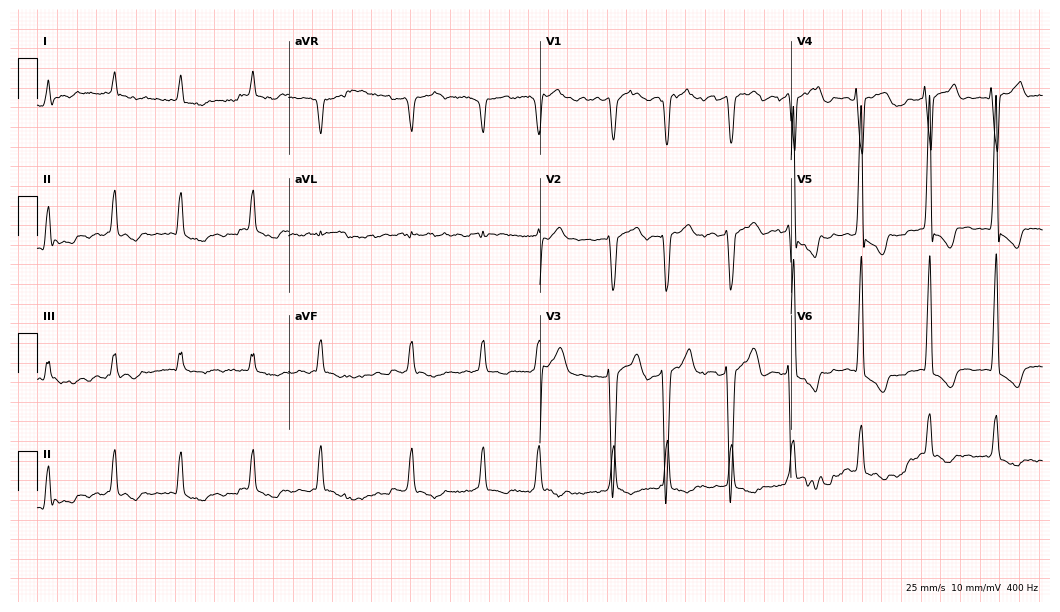
12-lead ECG from a male, 60 years old (10.2-second recording at 400 Hz). Shows atrial fibrillation (AF).